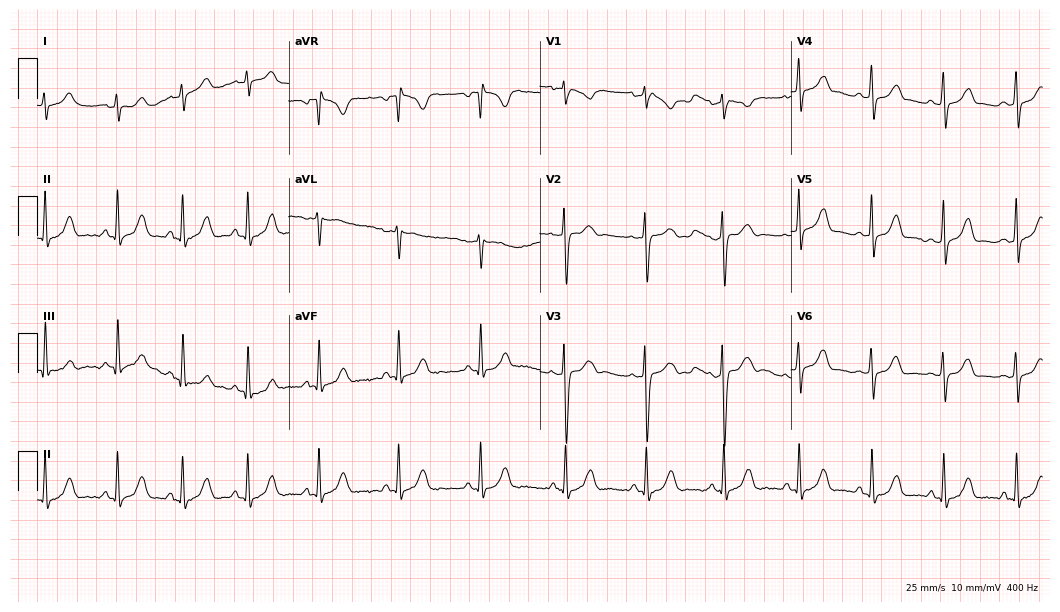
ECG (10.2-second recording at 400 Hz) — a female patient, 22 years old. Labelled as a normal ECG.